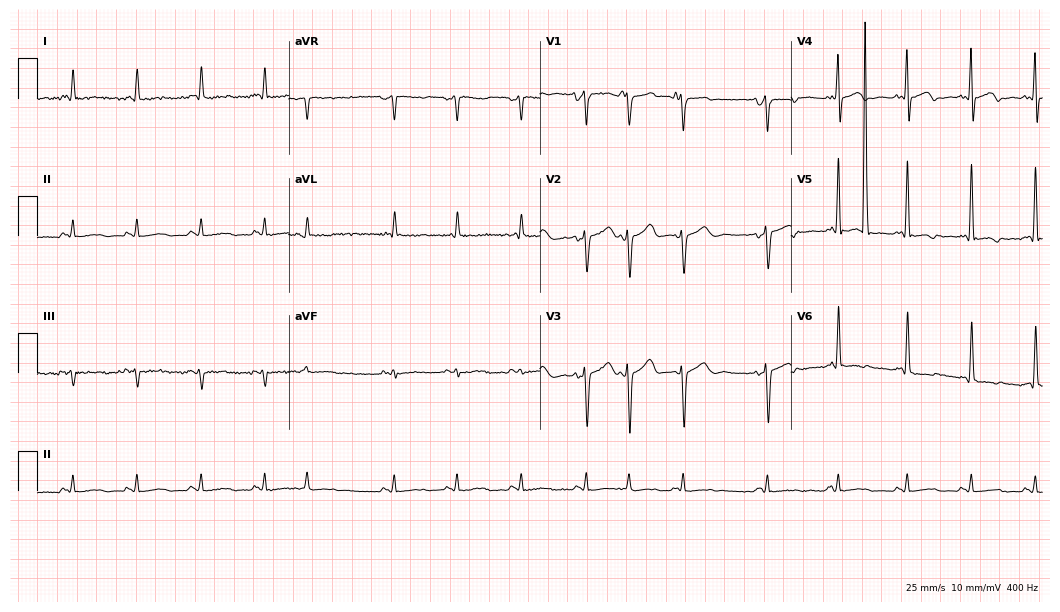
Resting 12-lead electrocardiogram. Patient: a 66-year-old male. None of these six findings is recorded: first-degree AV block, right bundle branch block, left bundle branch block, sinus bradycardia, atrial fibrillation, sinus tachycardia.